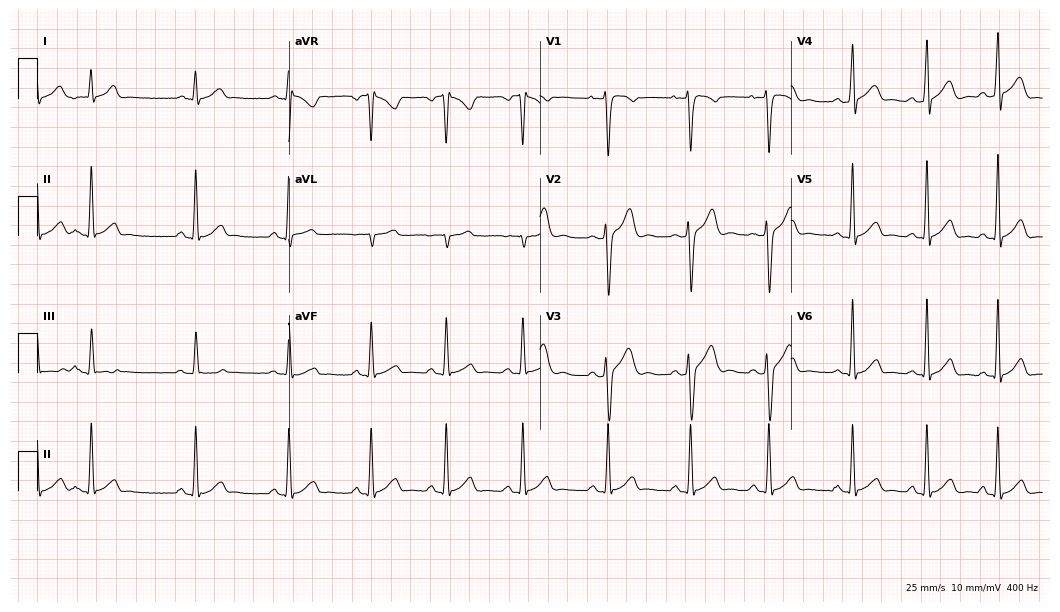
Resting 12-lead electrocardiogram (10.2-second recording at 400 Hz). Patient: a 25-year-old male. Read as a normal ECG.